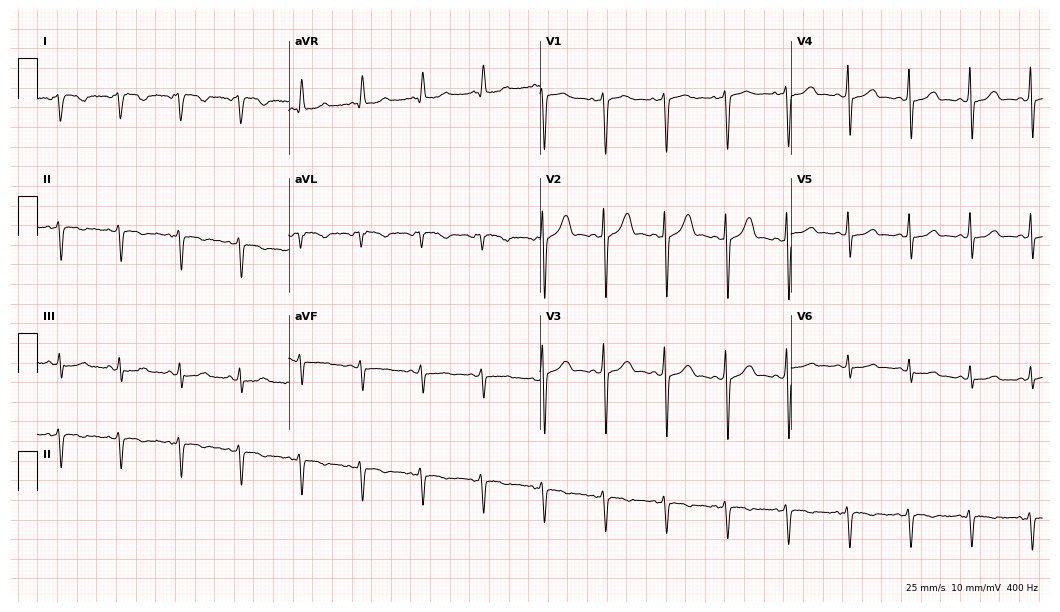
Resting 12-lead electrocardiogram. Patient: a 57-year-old female. None of these six findings is recorded: first-degree AV block, right bundle branch block, left bundle branch block, sinus bradycardia, atrial fibrillation, sinus tachycardia.